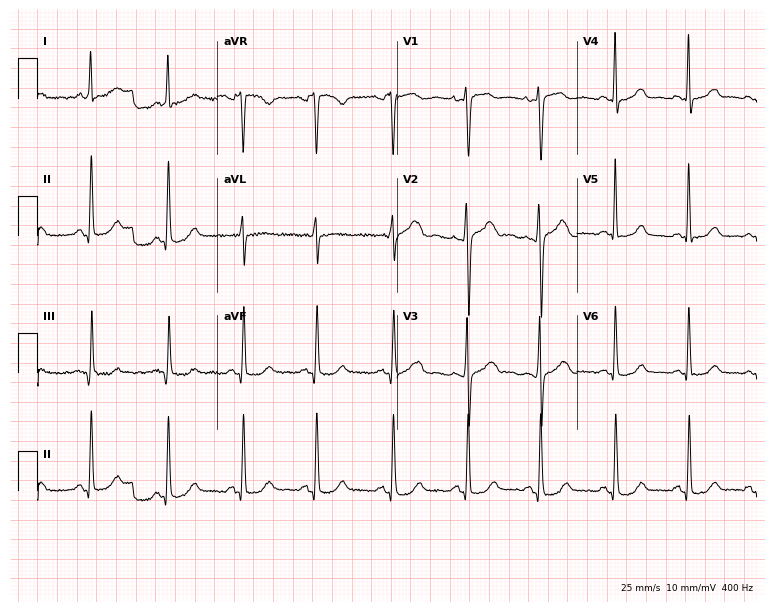
Electrocardiogram (7.3-second recording at 400 Hz), a 42-year-old female. Overall reading on record: normal ECG.